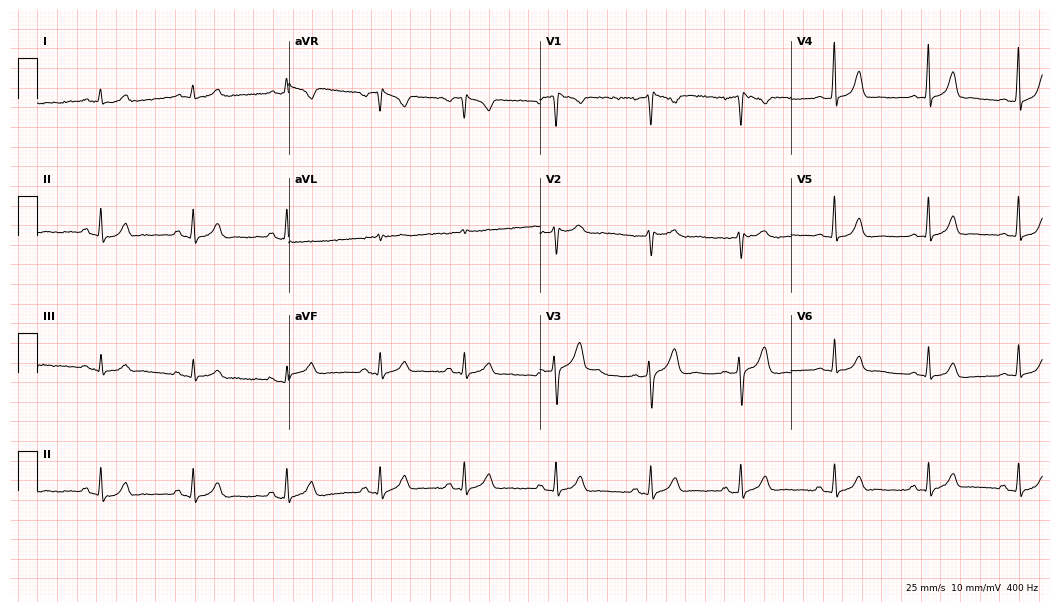
12-lead ECG (10.2-second recording at 400 Hz) from a woman, 26 years old. Labelled as a normal ECG.